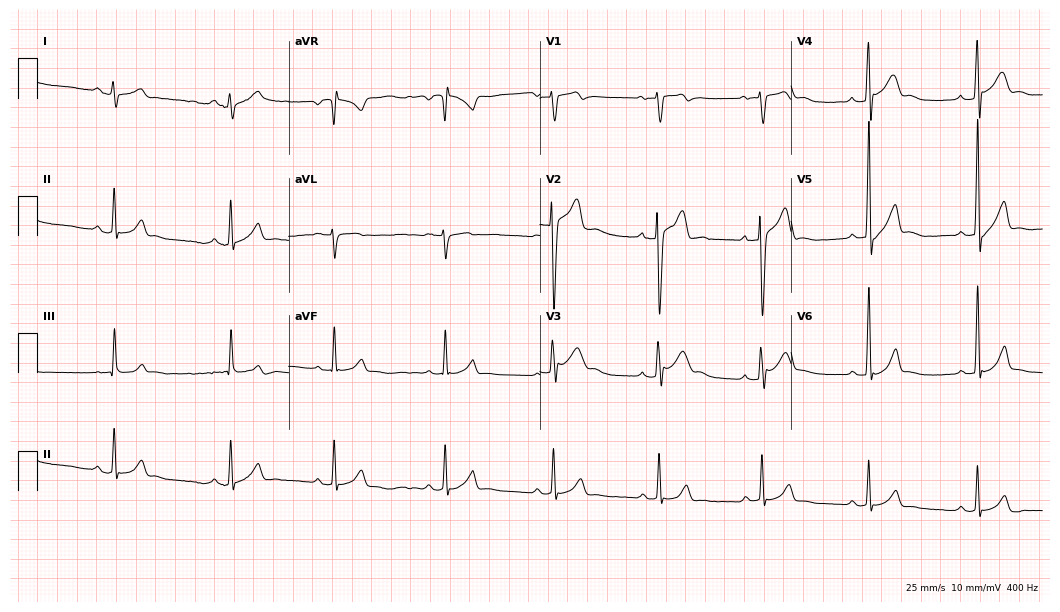
12-lead ECG from a 19-year-old man. Recorded interpretation: within normal limits.